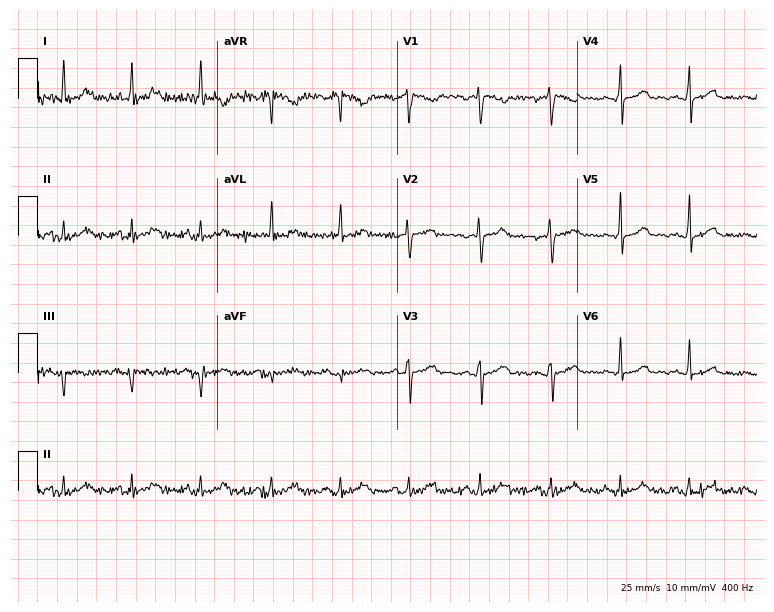
Resting 12-lead electrocardiogram. Patient: a man, 35 years old. Read as a normal ECG.